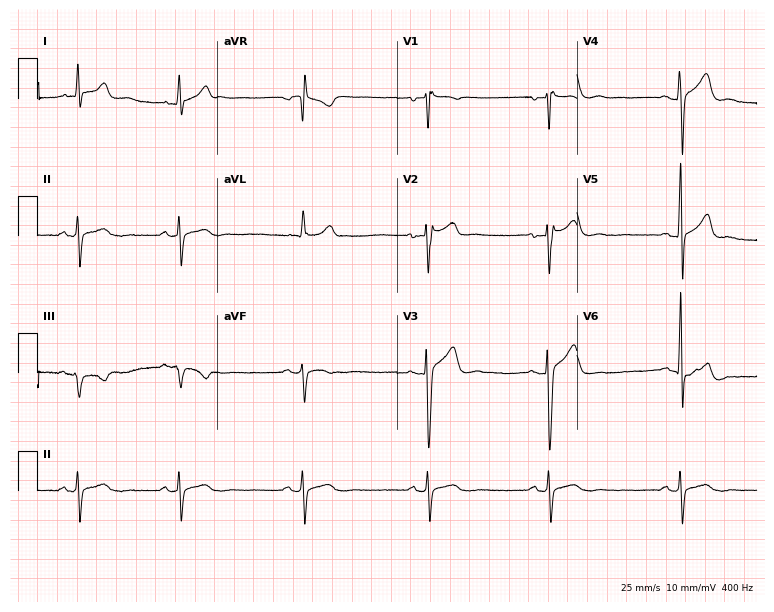
Electrocardiogram (7.3-second recording at 400 Hz), a 45-year-old male. Of the six screened findings (first-degree AV block, right bundle branch block, left bundle branch block, sinus bradycardia, atrial fibrillation, sinus tachycardia), none is recorded.